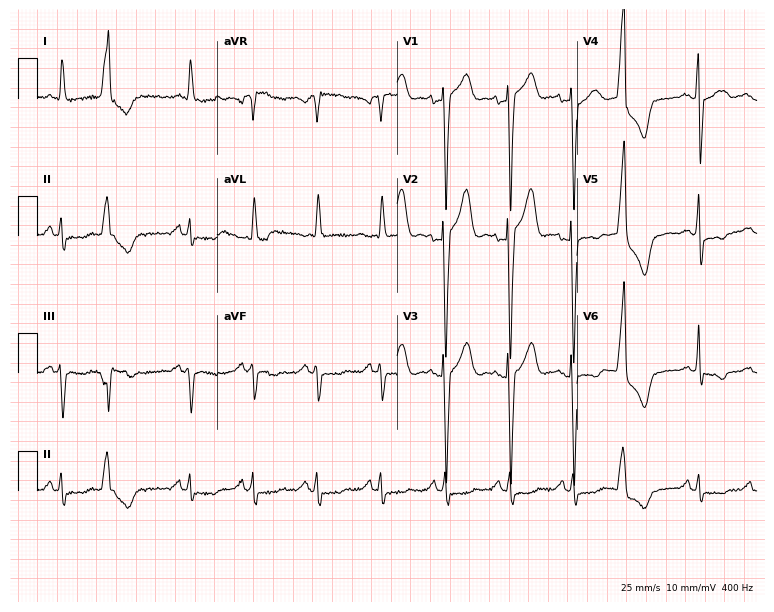
12-lead ECG (7.3-second recording at 400 Hz) from an 80-year-old male. Screened for six findings — first-degree AV block, right bundle branch block, left bundle branch block, sinus bradycardia, atrial fibrillation, sinus tachycardia — none is recorded.